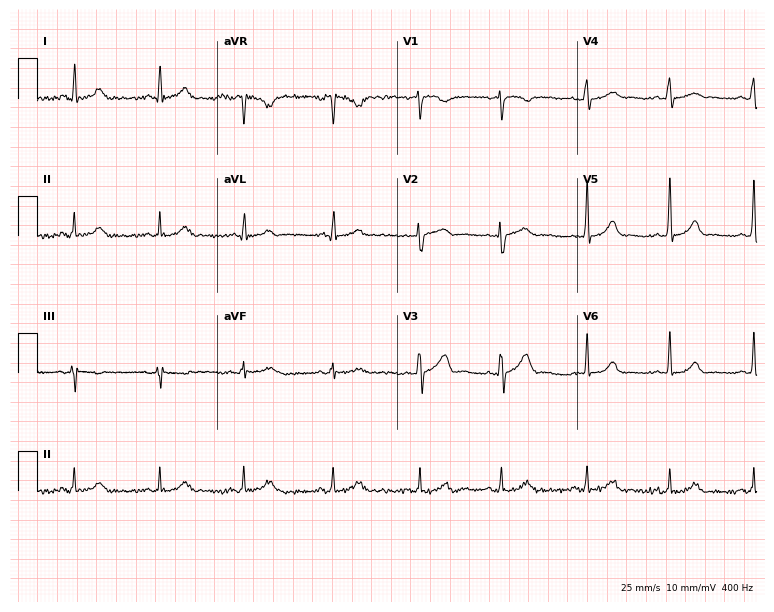
Resting 12-lead electrocardiogram. Patient: a female, 33 years old. Read as a normal ECG.